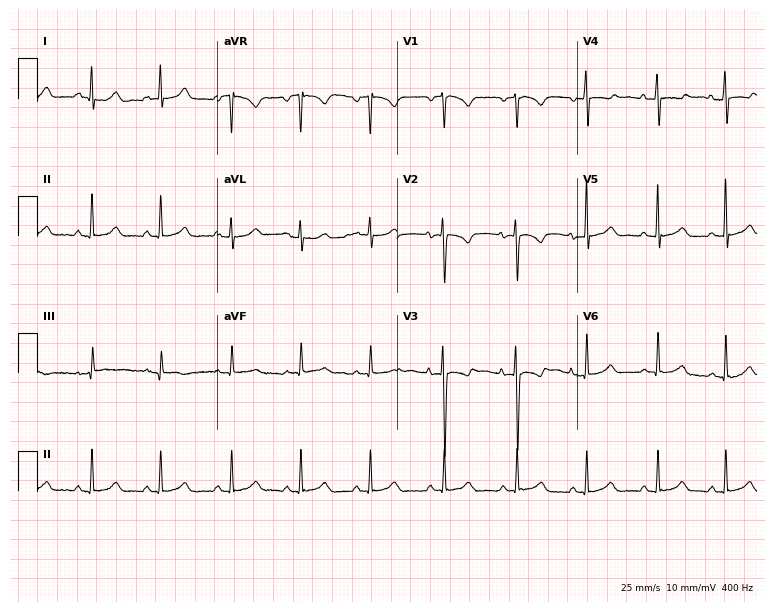
Resting 12-lead electrocardiogram. Patient: a female, 19 years old. Read as a normal ECG.